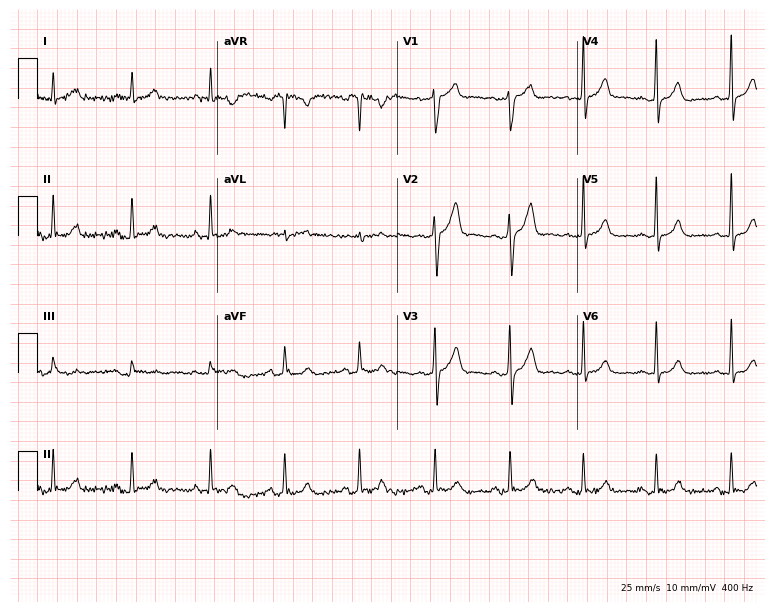
12-lead ECG from a 43-year-old male. Labelled as a normal ECG.